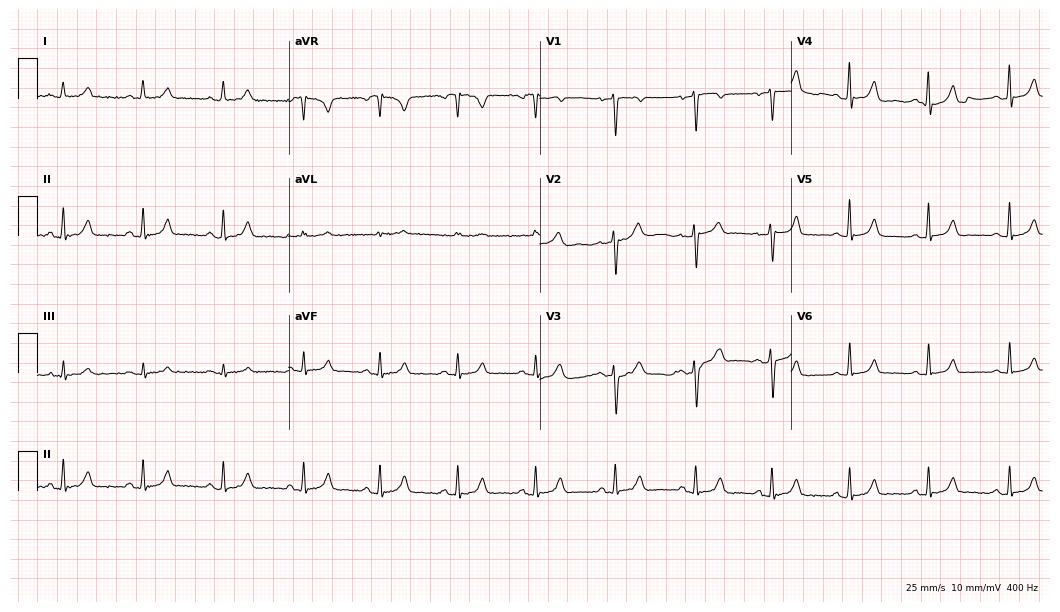
12-lead ECG from a woman, 51 years old (10.2-second recording at 400 Hz). Recorded interpretation: within normal limits.